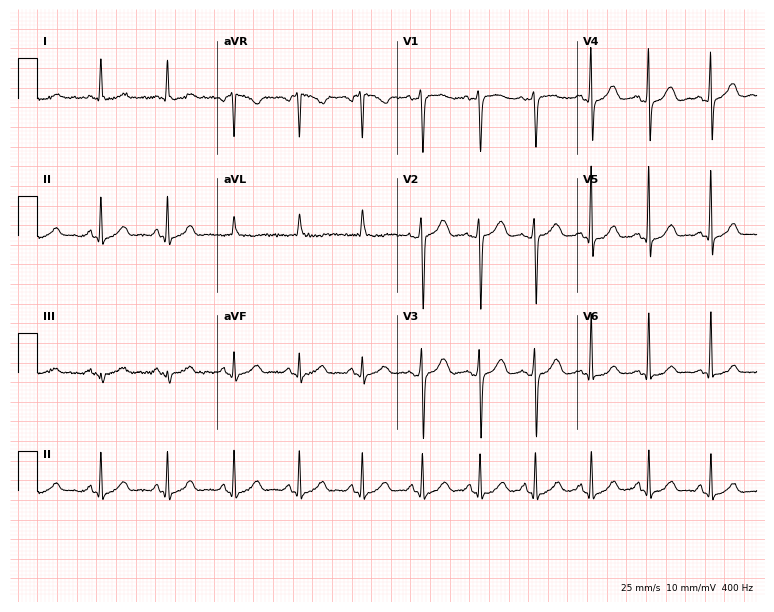
12-lead ECG from a female patient, 38 years old. No first-degree AV block, right bundle branch block, left bundle branch block, sinus bradycardia, atrial fibrillation or sinus tachycardia recorded for this tracing. Other findings, if any, are not listed.